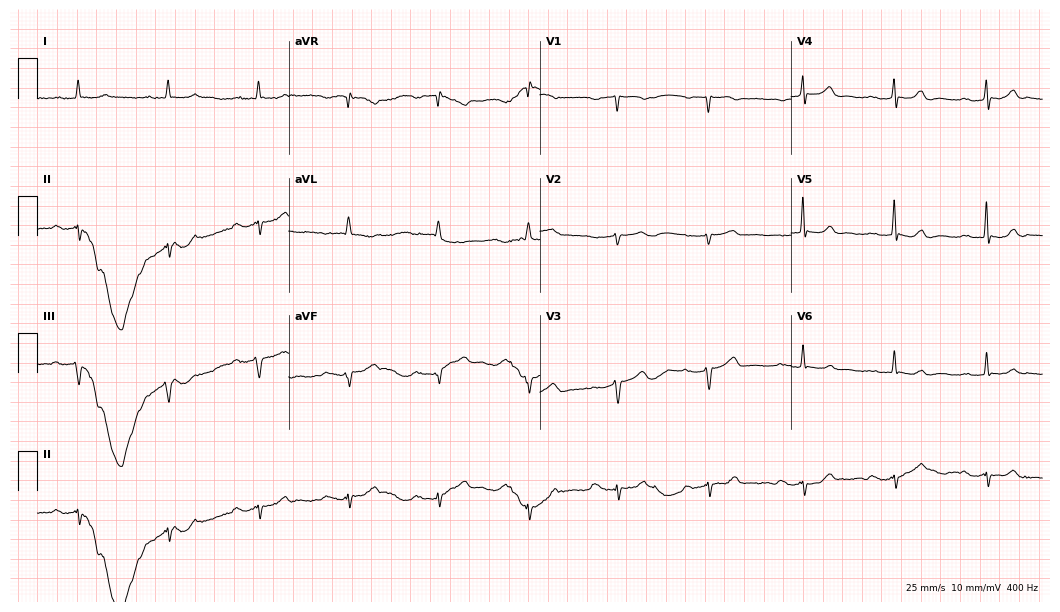
12-lead ECG from an 83-year-old male patient. Findings include first-degree AV block.